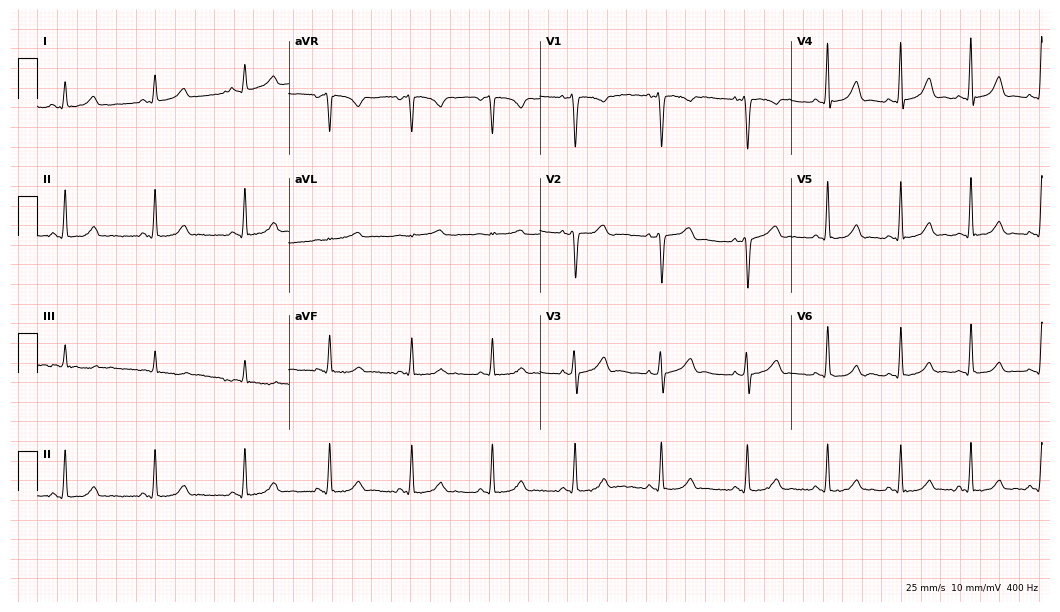
Electrocardiogram, a 28-year-old female patient. Overall reading on record: normal ECG.